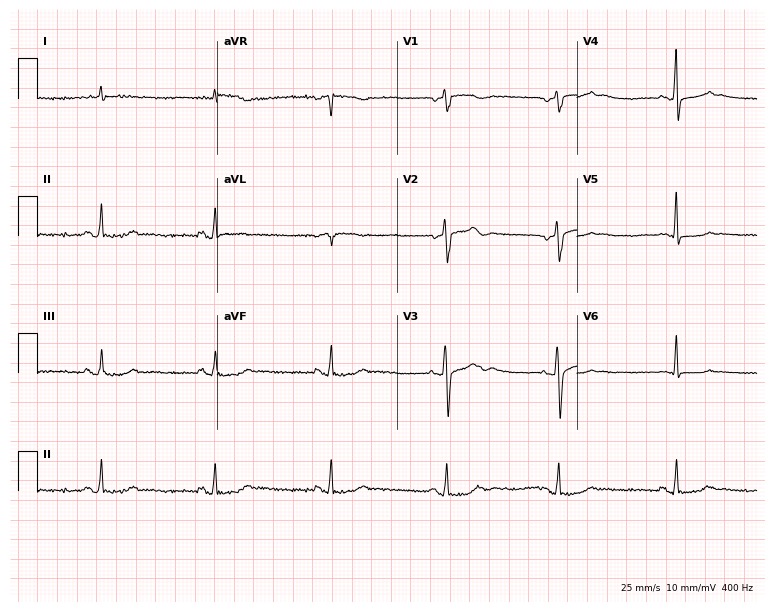
ECG — a woman, 80 years old. Screened for six findings — first-degree AV block, right bundle branch block (RBBB), left bundle branch block (LBBB), sinus bradycardia, atrial fibrillation (AF), sinus tachycardia — none is recorded. Only these six findings were labelled.